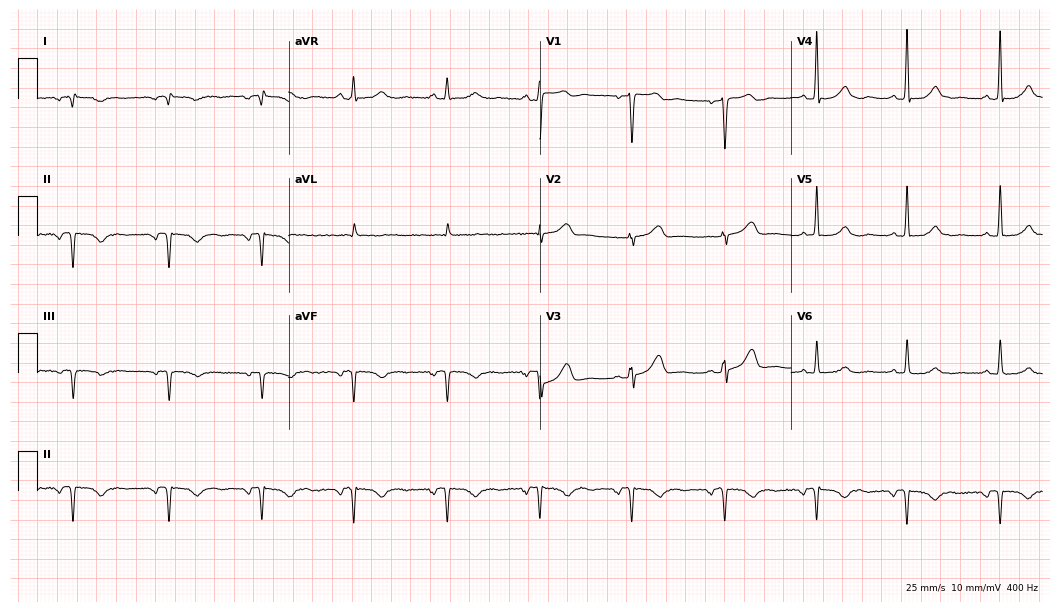
12-lead ECG from a woman, 55 years old (10.2-second recording at 400 Hz). No first-degree AV block, right bundle branch block, left bundle branch block, sinus bradycardia, atrial fibrillation or sinus tachycardia recorded for this tracing.